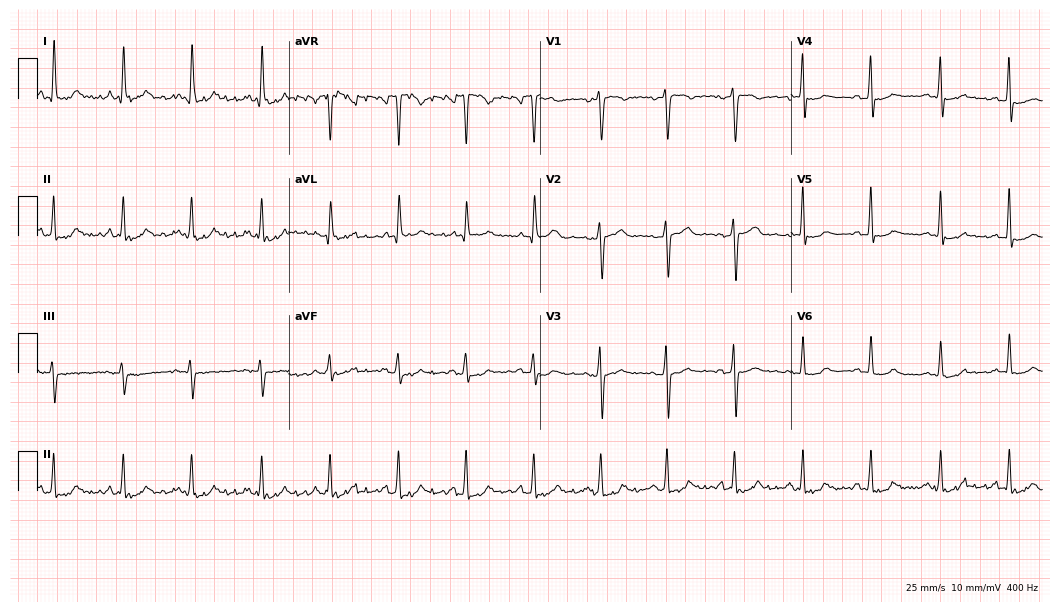
Resting 12-lead electrocardiogram (10.2-second recording at 400 Hz). Patient: a 36-year-old woman. None of these six findings is recorded: first-degree AV block, right bundle branch block (RBBB), left bundle branch block (LBBB), sinus bradycardia, atrial fibrillation (AF), sinus tachycardia.